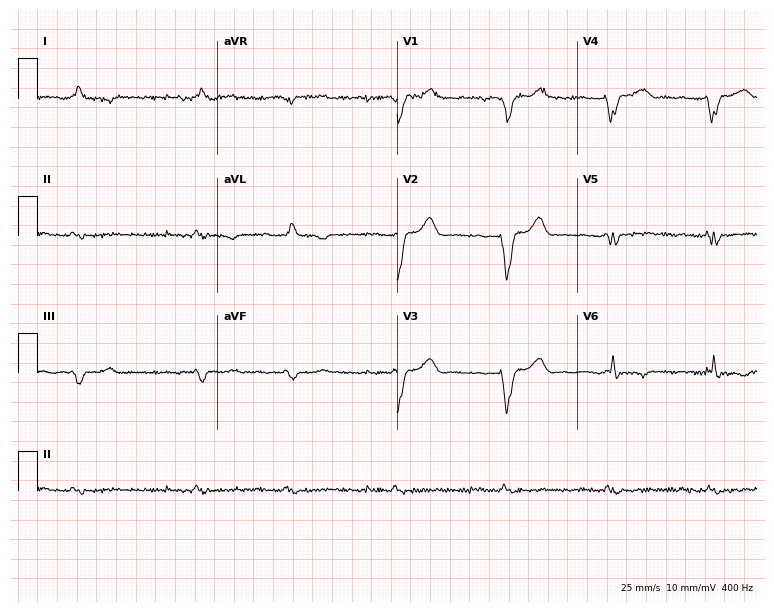
12-lead ECG (7.3-second recording at 400 Hz) from a man, 67 years old. Screened for six findings — first-degree AV block, right bundle branch block, left bundle branch block, sinus bradycardia, atrial fibrillation, sinus tachycardia — none is recorded. Findings outside these six are not listed.